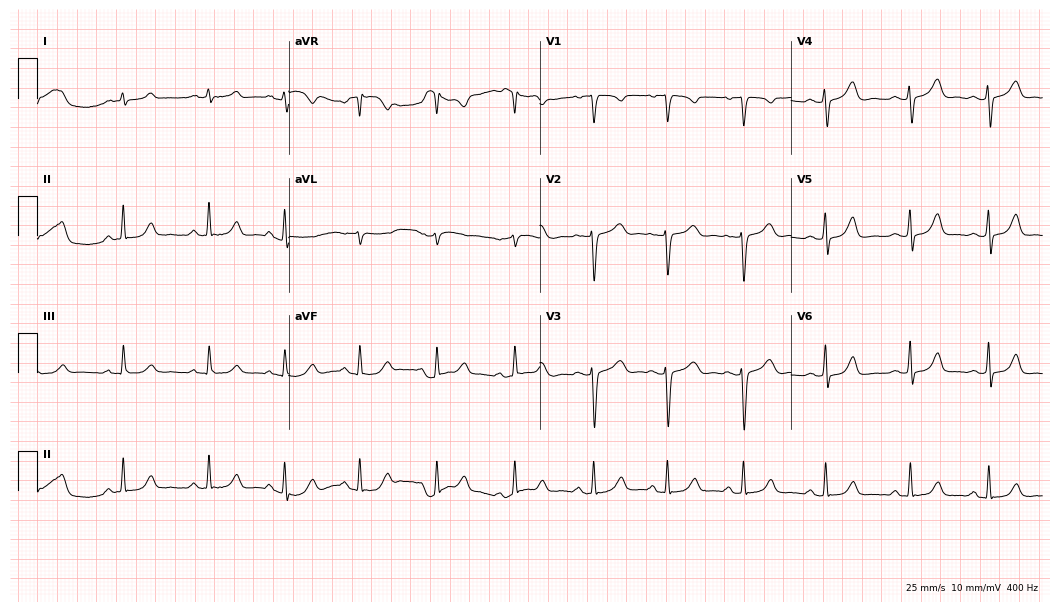
Electrocardiogram (10.2-second recording at 400 Hz), a female patient, 28 years old. Overall reading on record: normal ECG.